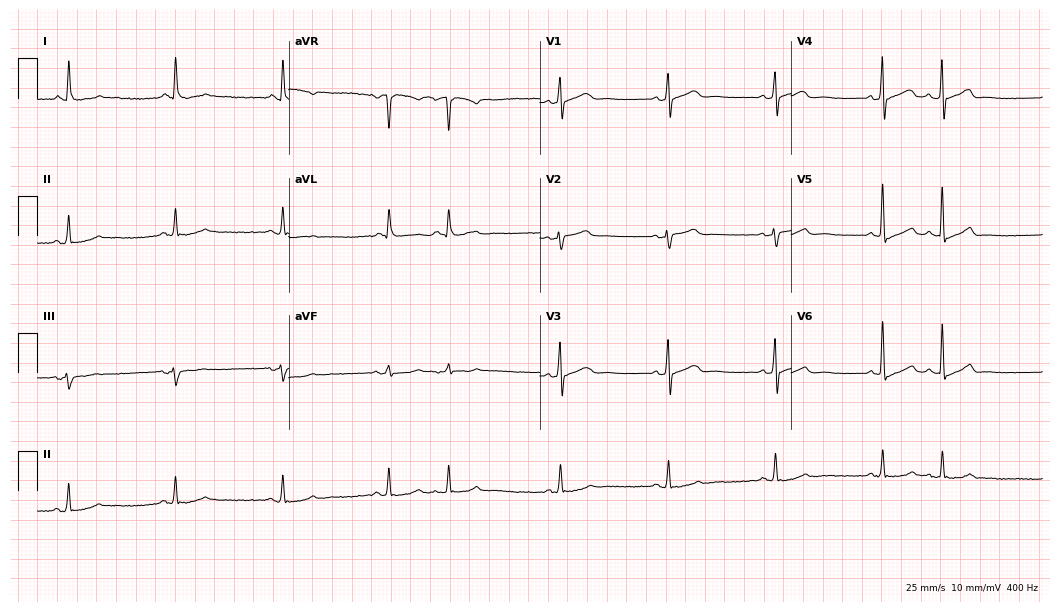
Electrocardiogram, a male patient, 68 years old. Of the six screened findings (first-degree AV block, right bundle branch block, left bundle branch block, sinus bradycardia, atrial fibrillation, sinus tachycardia), none is recorded. Other findings, if any, are not listed.